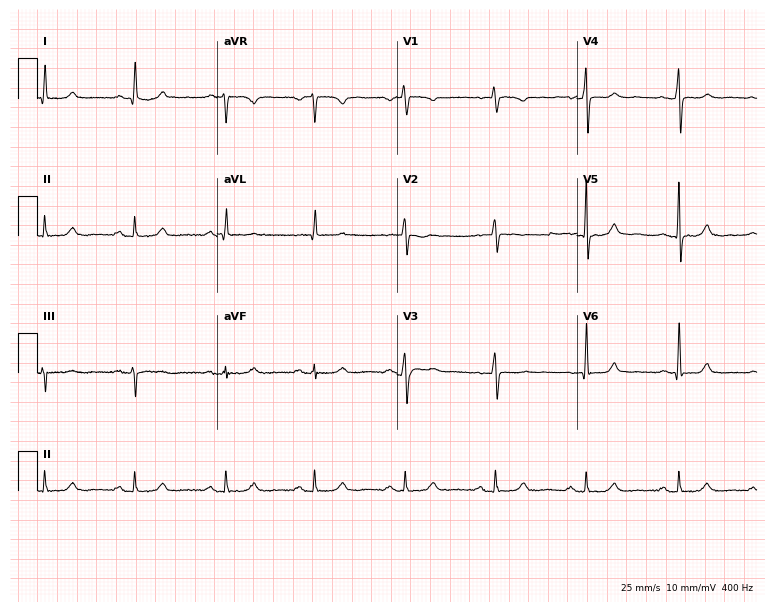
Electrocardiogram (7.3-second recording at 400 Hz), a 66-year-old woman. Overall reading on record: normal ECG.